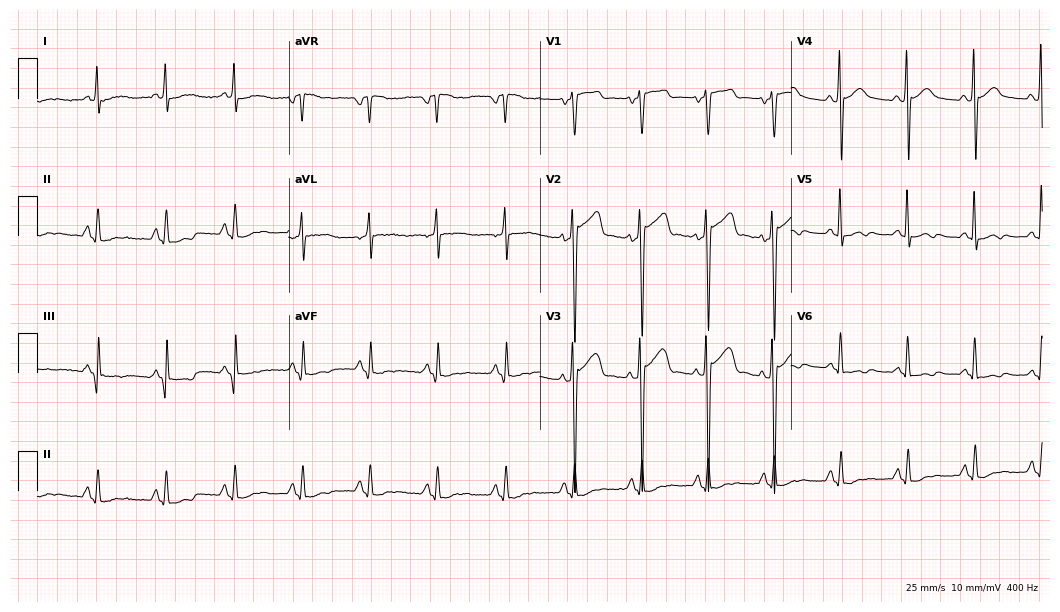
12-lead ECG from a male, 36 years old. Recorded interpretation: within normal limits.